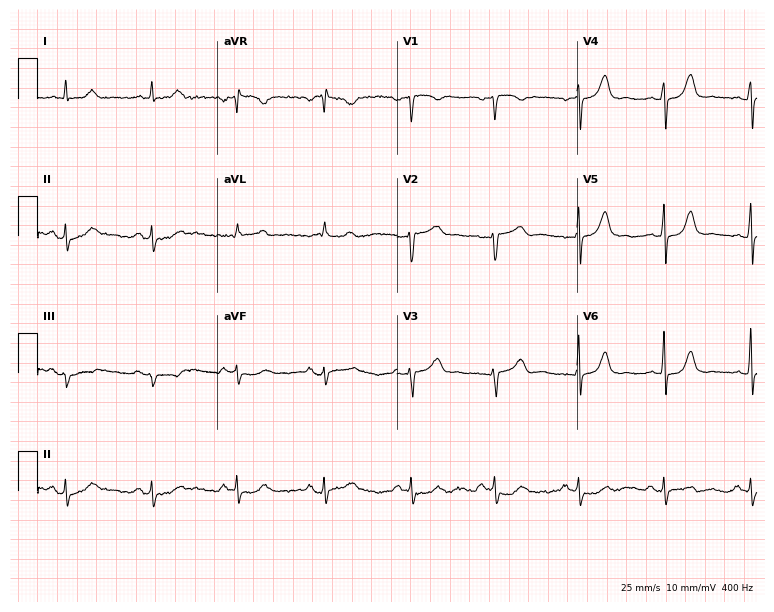
Electrocardiogram (7.3-second recording at 400 Hz), a female, 47 years old. Of the six screened findings (first-degree AV block, right bundle branch block, left bundle branch block, sinus bradycardia, atrial fibrillation, sinus tachycardia), none is recorded.